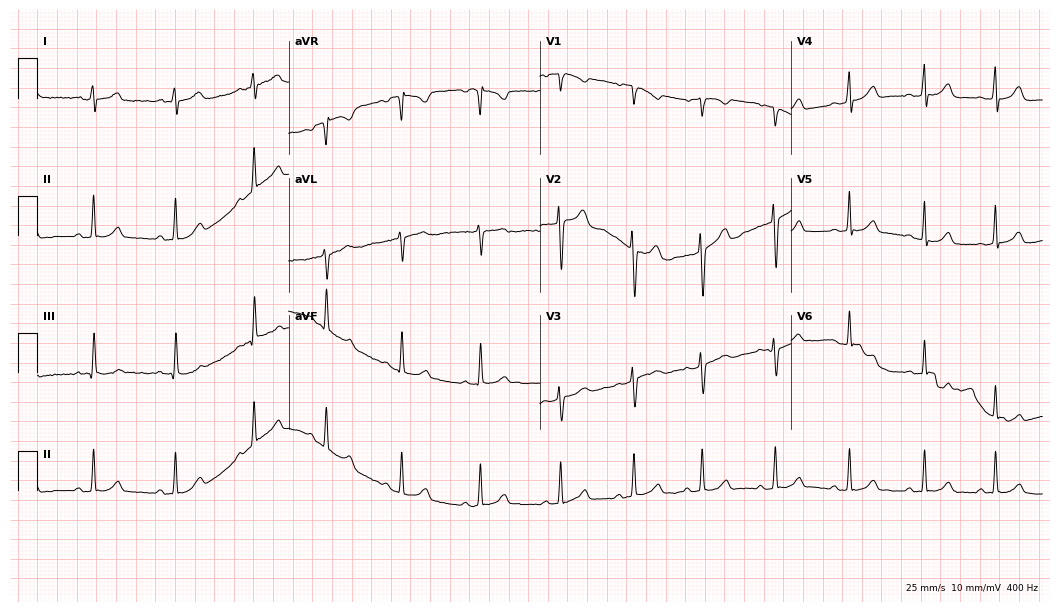
Resting 12-lead electrocardiogram. Patient: a female, 17 years old. Read as a normal ECG.